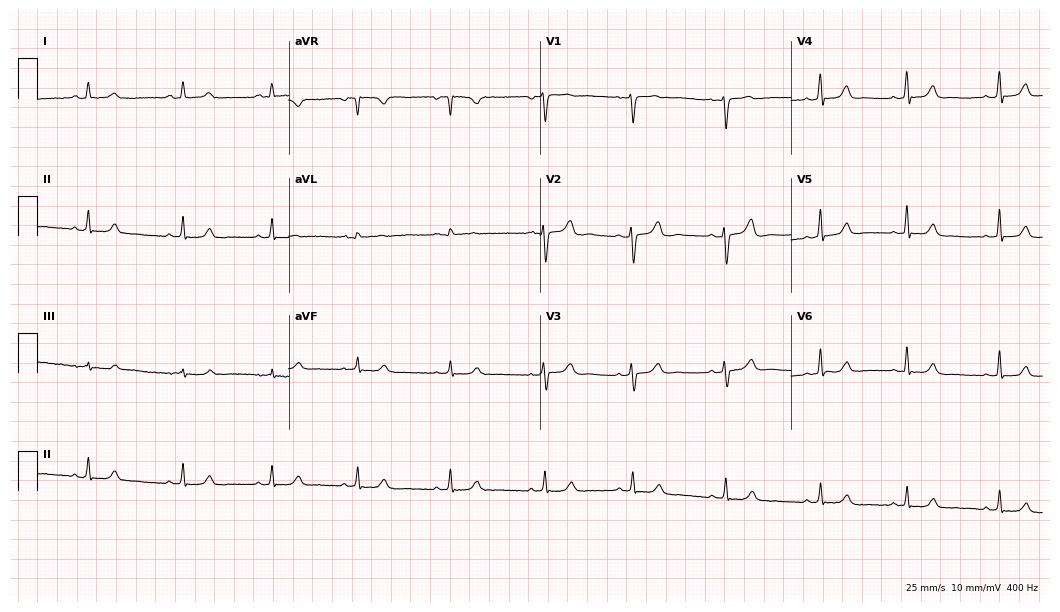
Resting 12-lead electrocardiogram (10.2-second recording at 400 Hz). Patient: a female, 26 years old. None of these six findings is recorded: first-degree AV block, right bundle branch block, left bundle branch block, sinus bradycardia, atrial fibrillation, sinus tachycardia.